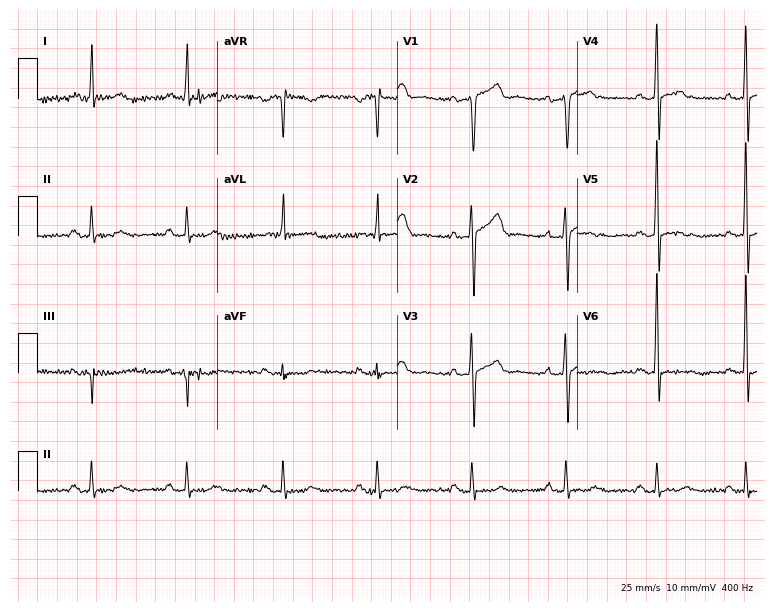
Standard 12-lead ECG recorded from a man, 67 years old. Read as a normal ECG.